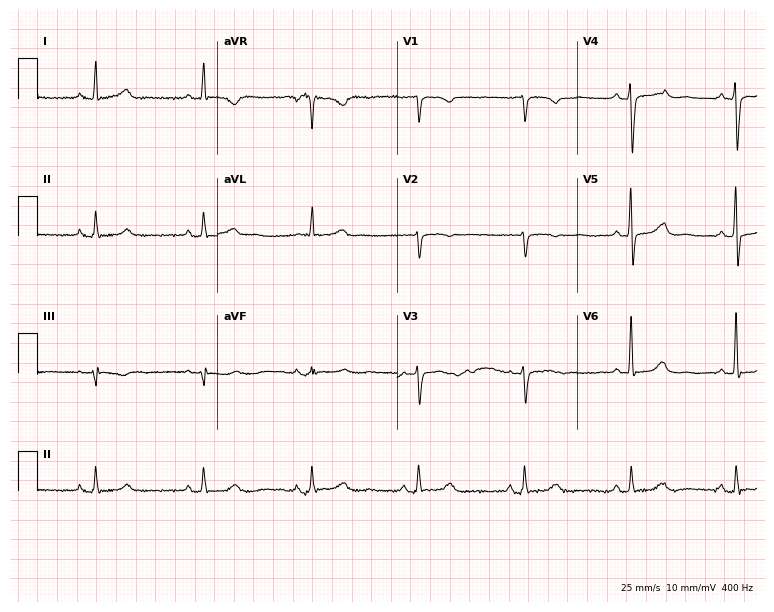
Resting 12-lead electrocardiogram. Patient: a 67-year-old female. None of these six findings is recorded: first-degree AV block, right bundle branch block, left bundle branch block, sinus bradycardia, atrial fibrillation, sinus tachycardia. Findings outside these six are not listed.